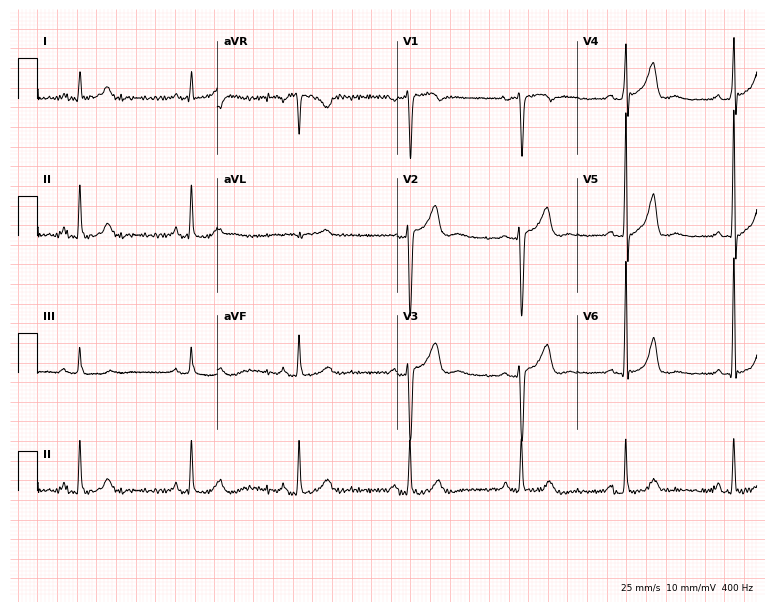
Resting 12-lead electrocardiogram (7.3-second recording at 400 Hz). Patient: a 38-year-old male. None of these six findings is recorded: first-degree AV block, right bundle branch block (RBBB), left bundle branch block (LBBB), sinus bradycardia, atrial fibrillation (AF), sinus tachycardia. Only these six findings were labelled.